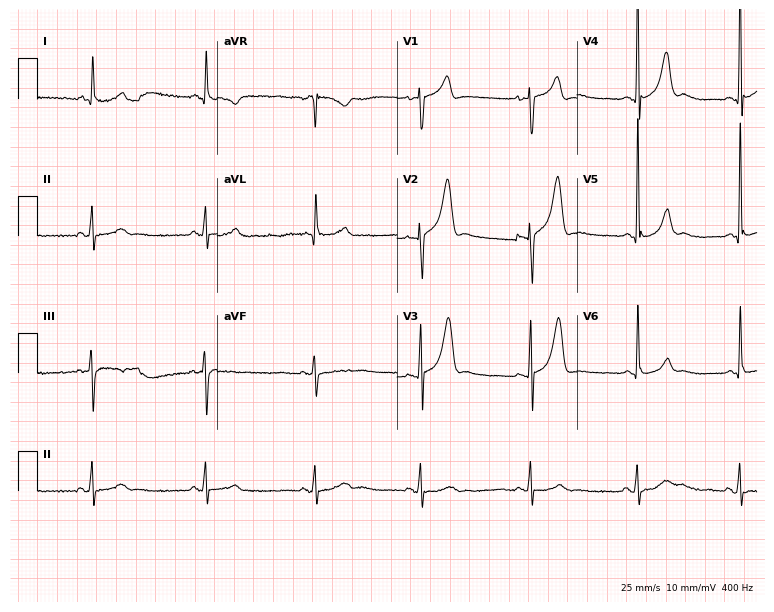
Electrocardiogram, a 67-year-old male patient. Of the six screened findings (first-degree AV block, right bundle branch block, left bundle branch block, sinus bradycardia, atrial fibrillation, sinus tachycardia), none is recorded.